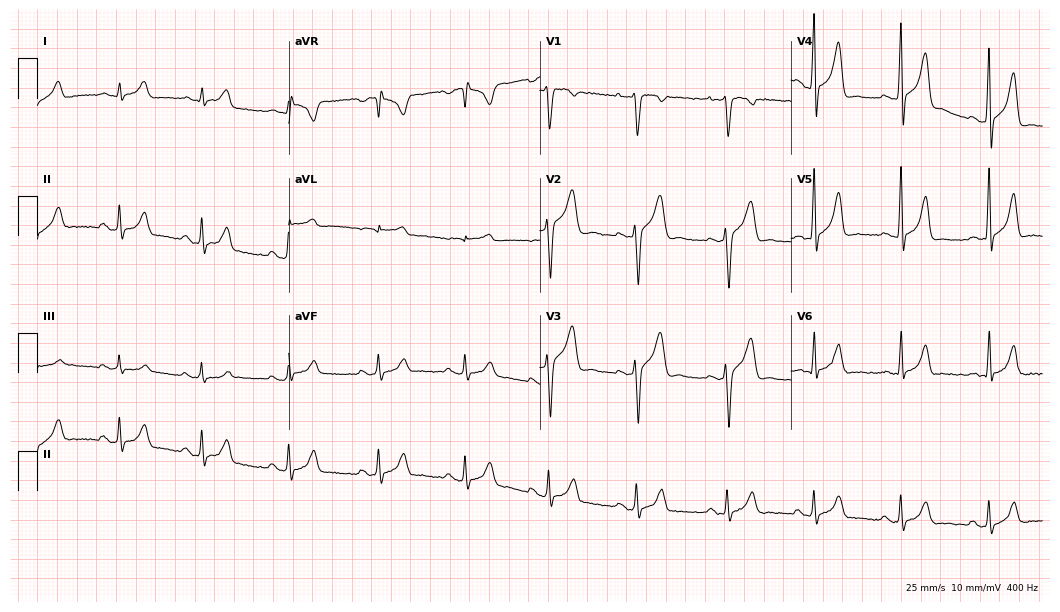
12-lead ECG from a male, 23 years old. Screened for six findings — first-degree AV block, right bundle branch block (RBBB), left bundle branch block (LBBB), sinus bradycardia, atrial fibrillation (AF), sinus tachycardia — none is recorded. Findings outside these six are not listed.